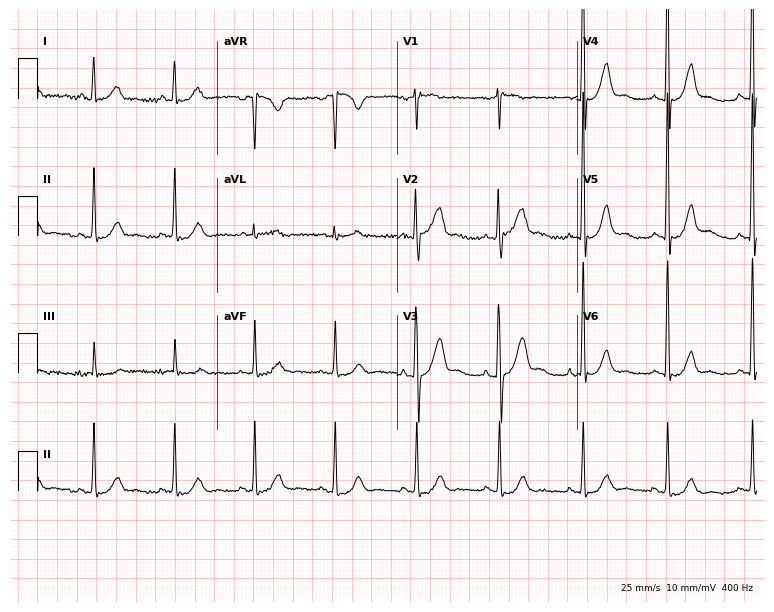
ECG — a male, 62 years old. Screened for six findings — first-degree AV block, right bundle branch block (RBBB), left bundle branch block (LBBB), sinus bradycardia, atrial fibrillation (AF), sinus tachycardia — none is recorded. Only these six findings were labelled.